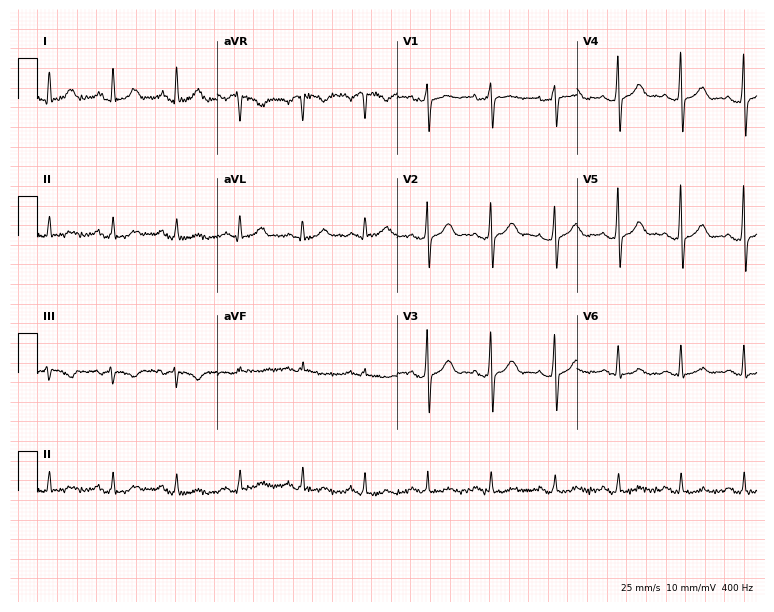
Standard 12-lead ECG recorded from a 64-year-old female. None of these six findings is recorded: first-degree AV block, right bundle branch block (RBBB), left bundle branch block (LBBB), sinus bradycardia, atrial fibrillation (AF), sinus tachycardia. Only these six findings were labelled.